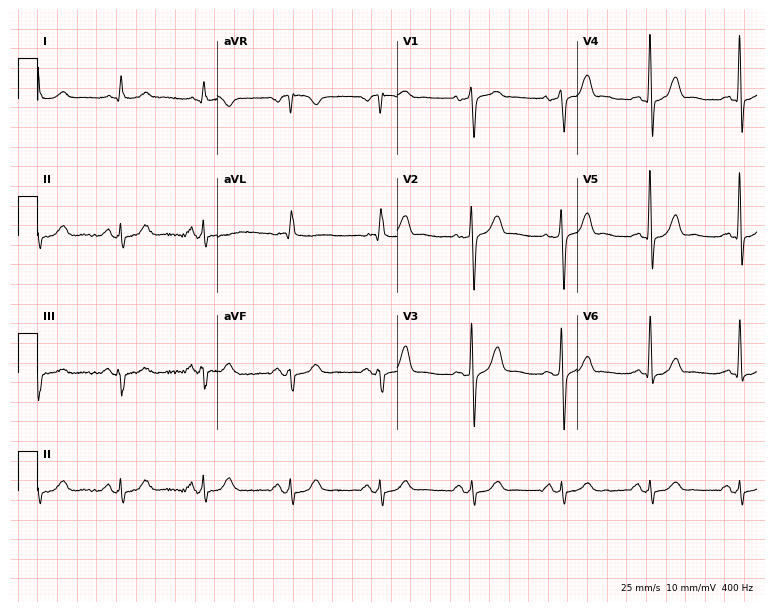
12-lead ECG (7.3-second recording at 400 Hz) from a male, 56 years old. Labelled as a normal ECG.